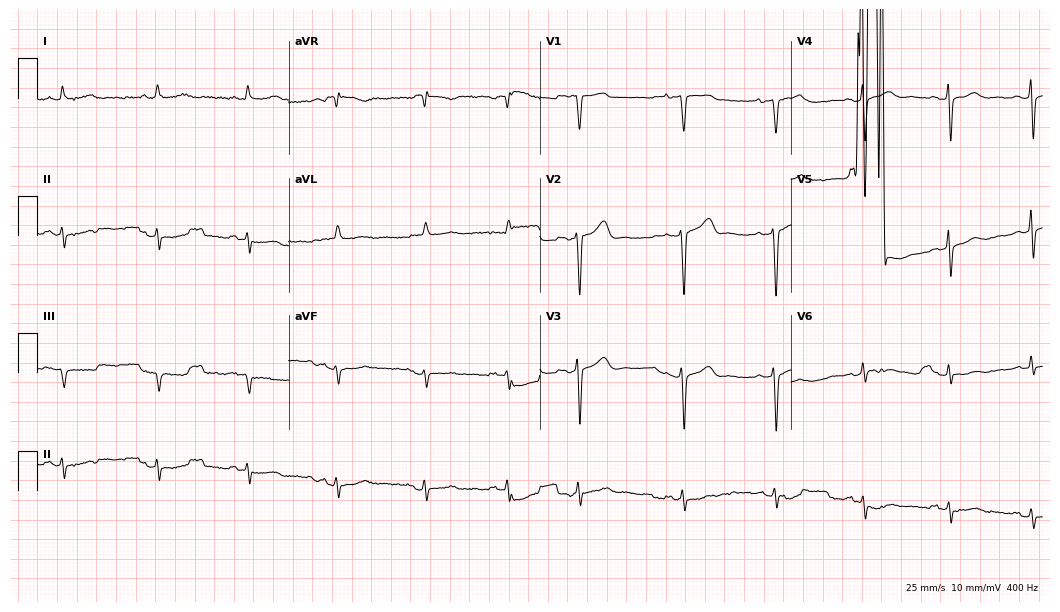
Resting 12-lead electrocardiogram (10.2-second recording at 400 Hz). Patient: a 61-year-old female. None of these six findings is recorded: first-degree AV block, right bundle branch block, left bundle branch block, sinus bradycardia, atrial fibrillation, sinus tachycardia. Other findings, if any, are not listed.